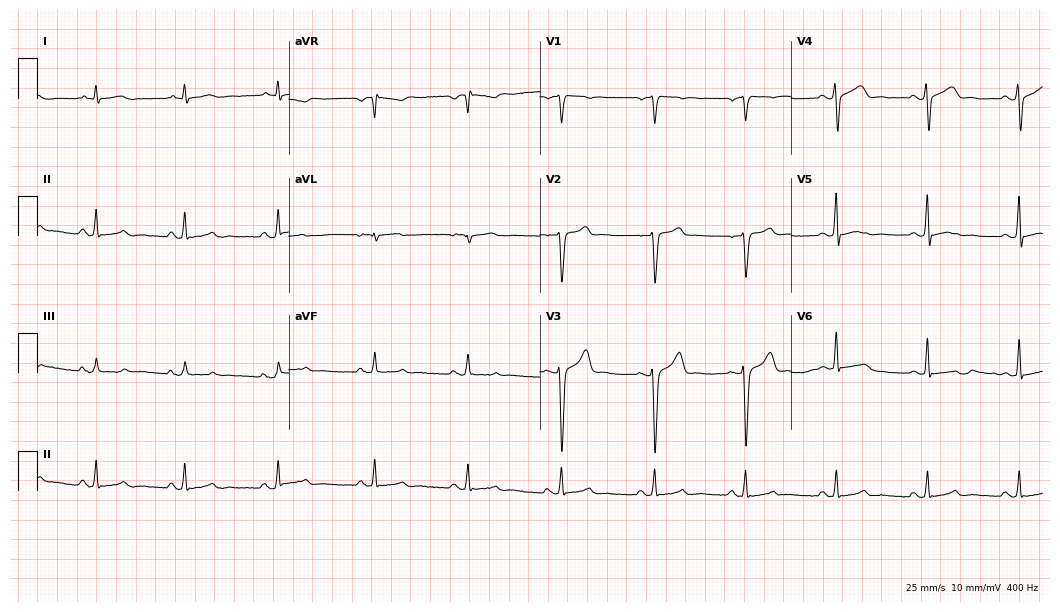
Electrocardiogram (10.2-second recording at 400 Hz), a 27-year-old man. Overall reading on record: normal ECG.